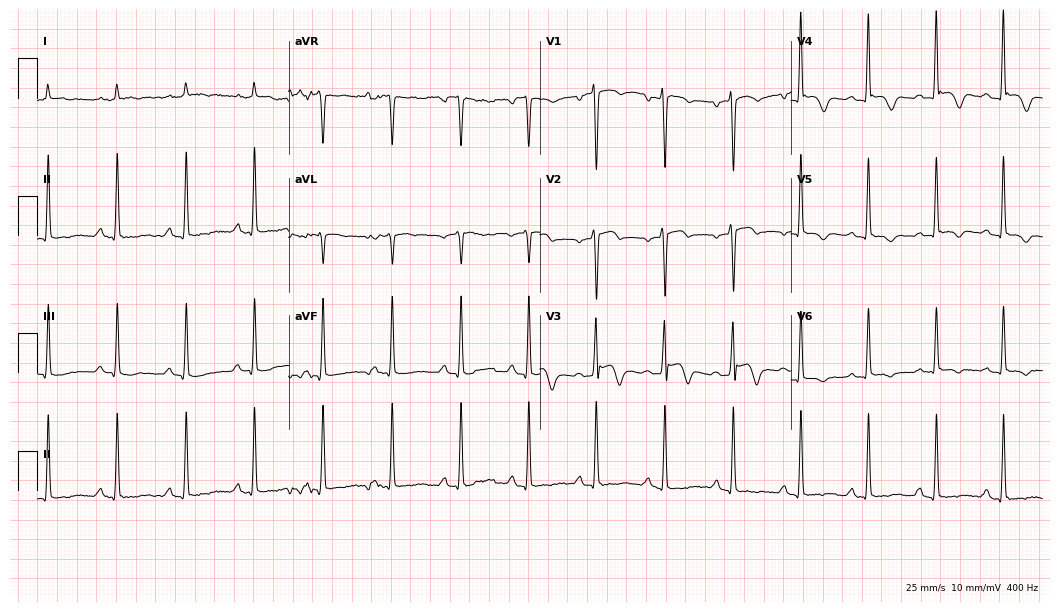
12-lead ECG (10.2-second recording at 400 Hz) from a 43-year-old male. Screened for six findings — first-degree AV block, right bundle branch block, left bundle branch block, sinus bradycardia, atrial fibrillation, sinus tachycardia — none is recorded.